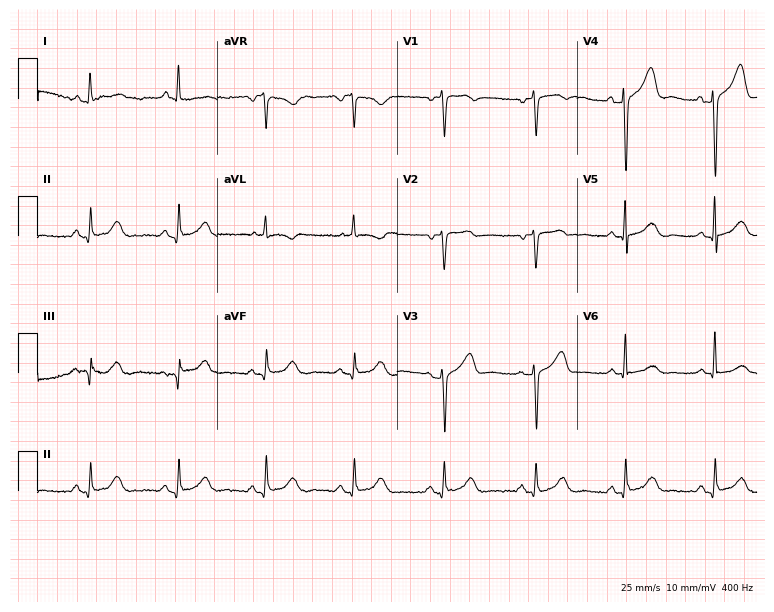
12-lead ECG from a 58-year-old woman. Screened for six findings — first-degree AV block, right bundle branch block (RBBB), left bundle branch block (LBBB), sinus bradycardia, atrial fibrillation (AF), sinus tachycardia — none is recorded. Other findings, if any, are not listed.